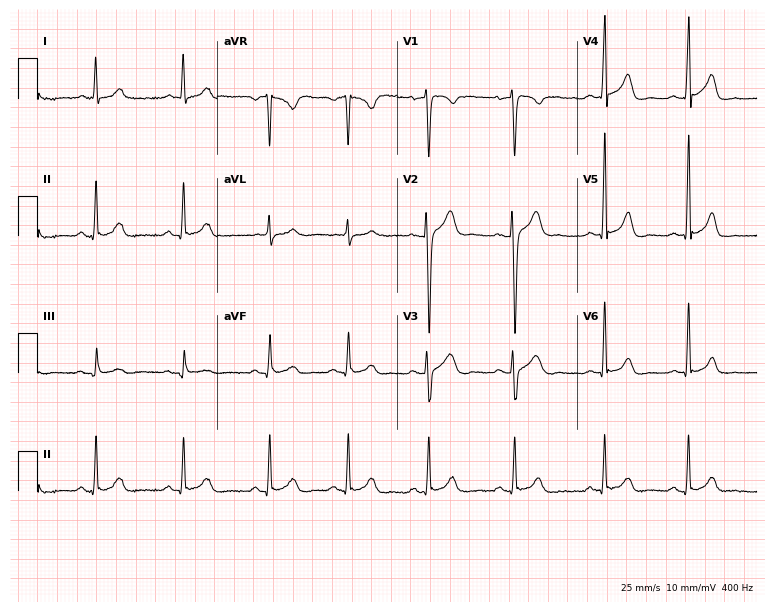
12-lead ECG from a 32-year-old man (7.3-second recording at 400 Hz). No first-degree AV block, right bundle branch block, left bundle branch block, sinus bradycardia, atrial fibrillation or sinus tachycardia recorded for this tracing.